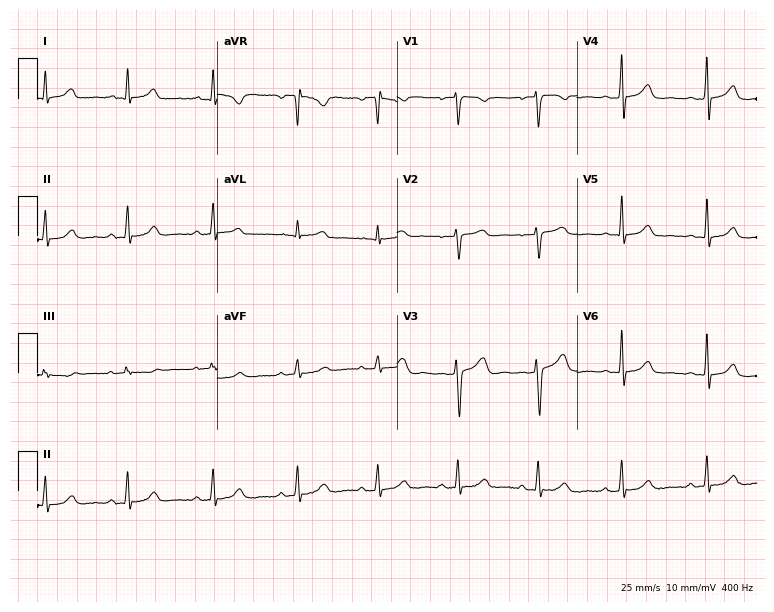
12-lead ECG from a male, 31 years old (7.3-second recording at 400 Hz). No first-degree AV block, right bundle branch block, left bundle branch block, sinus bradycardia, atrial fibrillation or sinus tachycardia recorded for this tracing. Other findings, if any, are not listed.